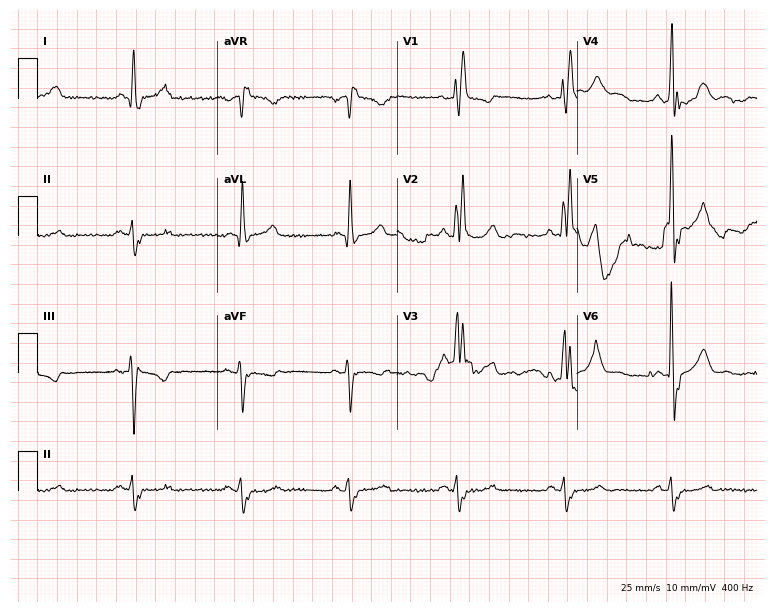
12-lead ECG from a male patient, 68 years old (7.3-second recording at 400 Hz). No first-degree AV block, right bundle branch block (RBBB), left bundle branch block (LBBB), sinus bradycardia, atrial fibrillation (AF) or sinus tachycardia recorded for this tracing. Other findings, if any, are not listed.